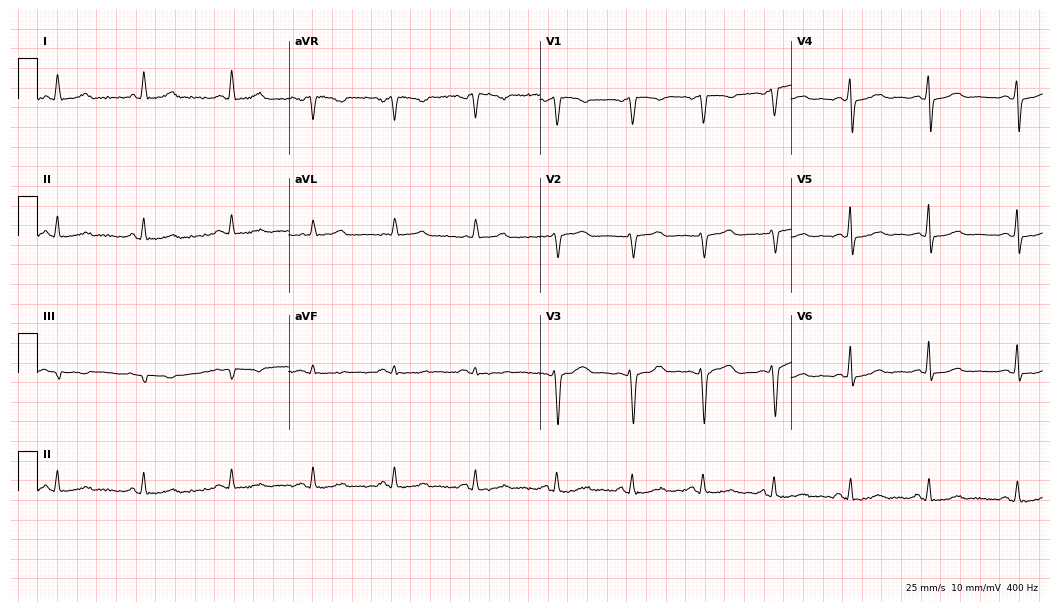
Standard 12-lead ECG recorded from a female, 42 years old (10.2-second recording at 400 Hz). Read as a normal ECG.